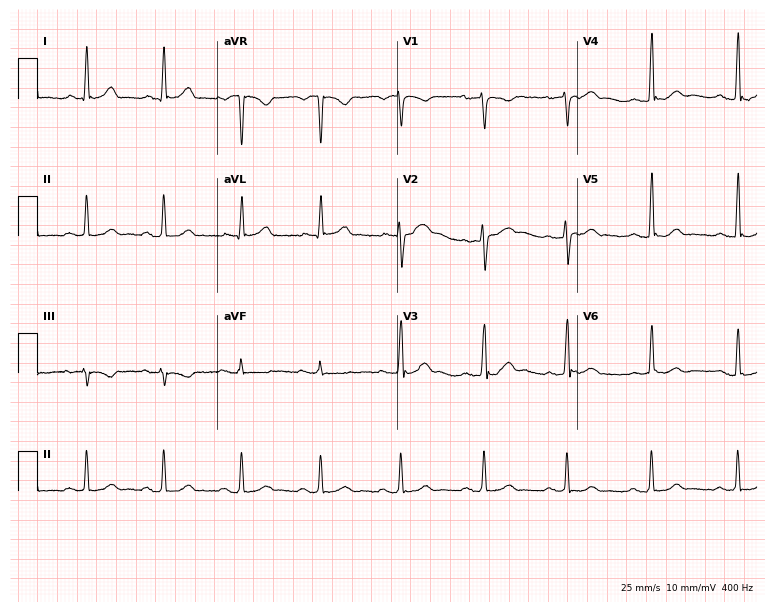
Electrocardiogram (7.3-second recording at 400 Hz), a male, 41 years old. Overall reading on record: normal ECG.